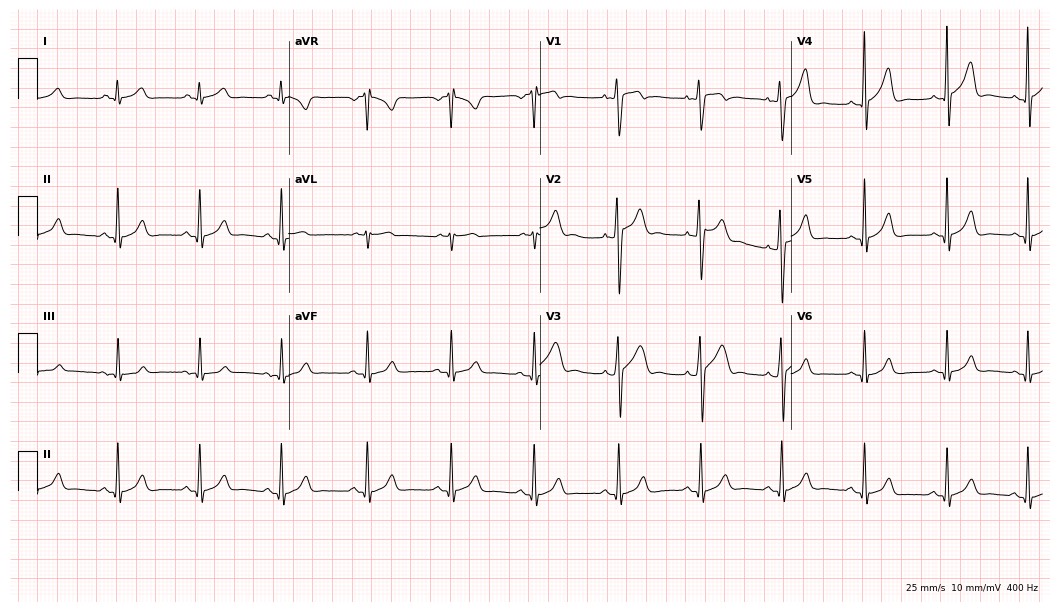
12-lead ECG from a 29-year-old male patient. Recorded interpretation: within normal limits.